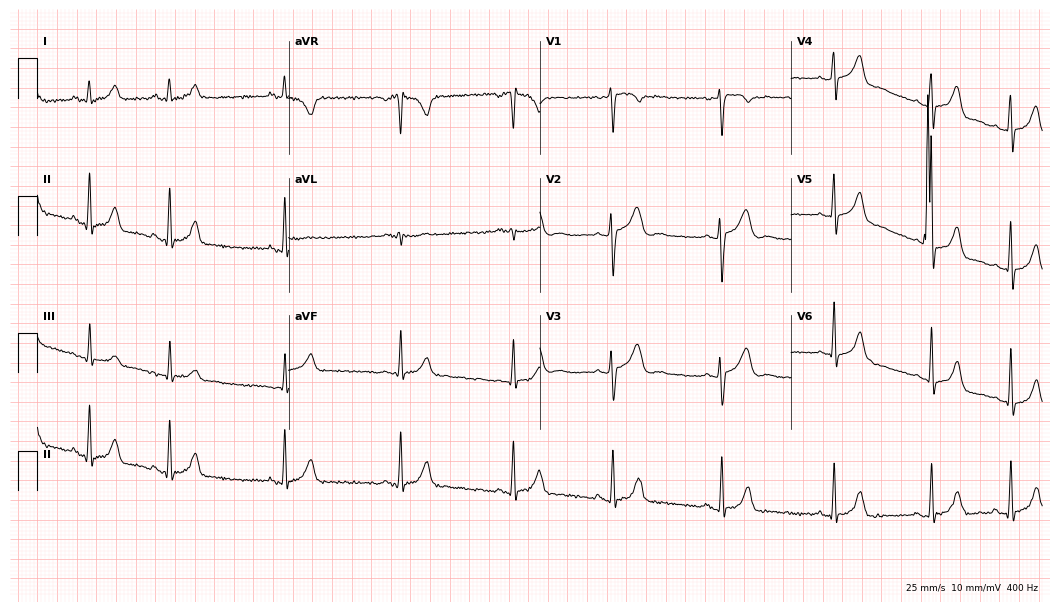
Standard 12-lead ECG recorded from a female patient, 21 years old. Read as a normal ECG.